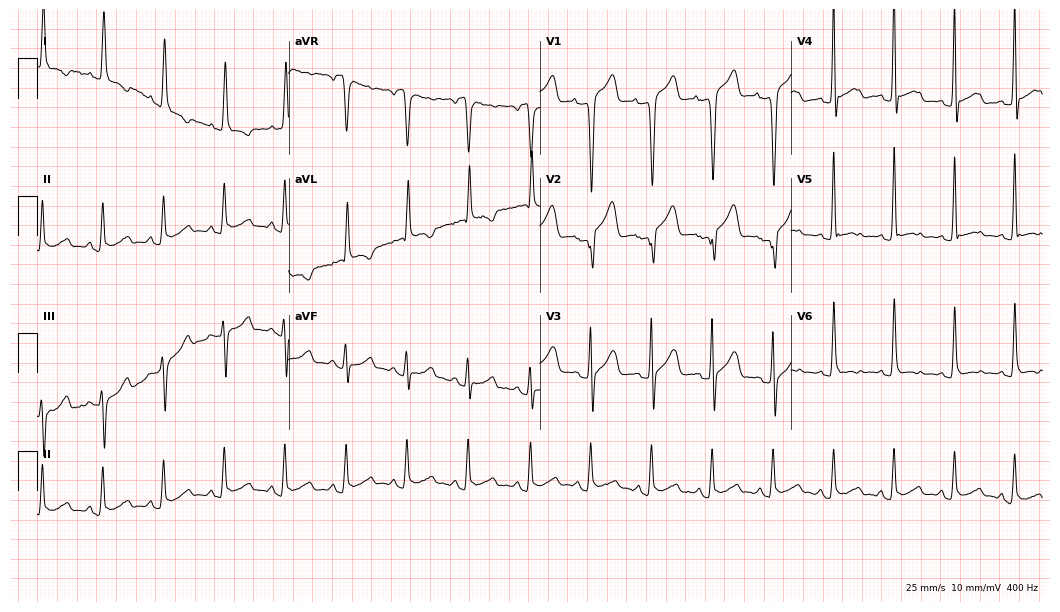
ECG (10.2-second recording at 400 Hz) — a woman, 62 years old. Screened for six findings — first-degree AV block, right bundle branch block (RBBB), left bundle branch block (LBBB), sinus bradycardia, atrial fibrillation (AF), sinus tachycardia — none is recorded. Only these six findings were labelled.